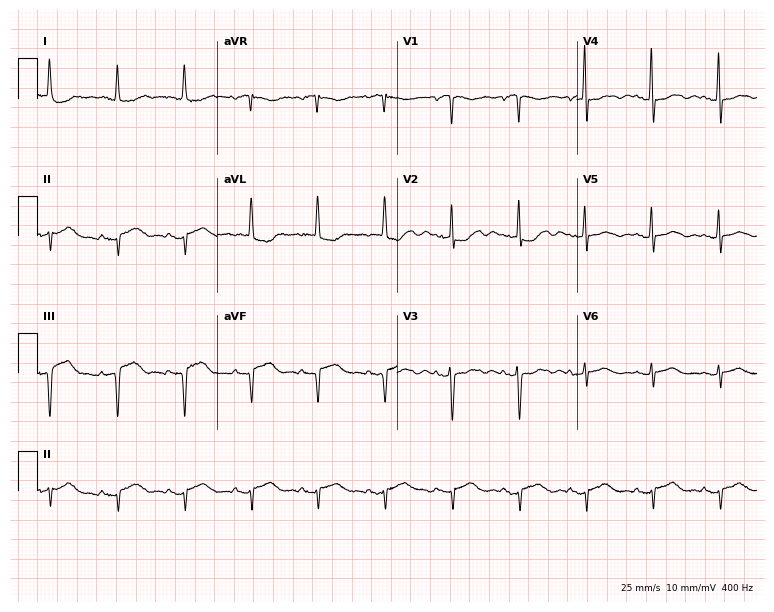
12-lead ECG (7.3-second recording at 400 Hz) from a 79-year-old female patient. Screened for six findings — first-degree AV block, right bundle branch block, left bundle branch block, sinus bradycardia, atrial fibrillation, sinus tachycardia — none is recorded. Findings outside these six are not listed.